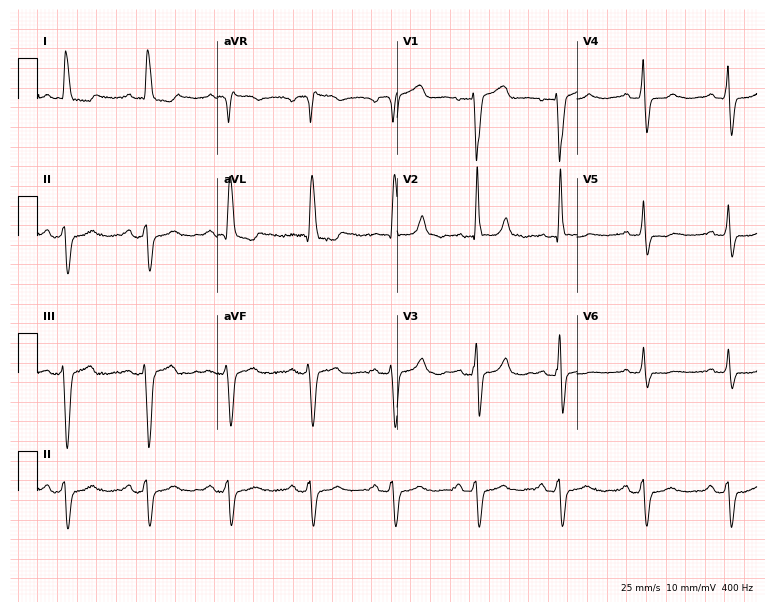
Resting 12-lead electrocardiogram. Patient: a female, 84 years old. None of these six findings is recorded: first-degree AV block, right bundle branch block, left bundle branch block, sinus bradycardia, atrial fibrillation, sinus tachycardia.